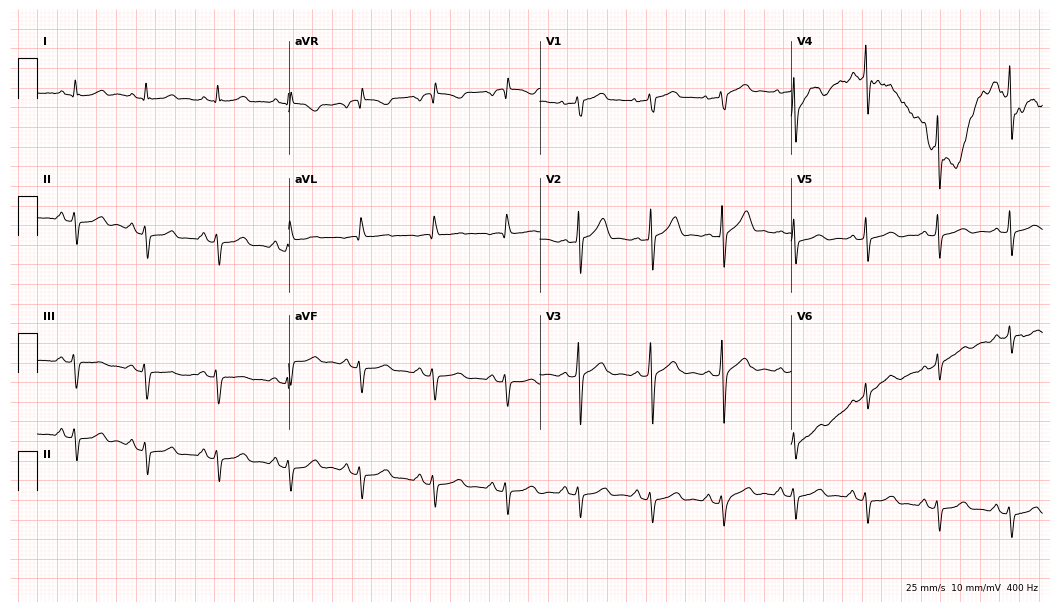
ECG — a female patient, 52 years old. Screened for six findings — first-degree AV block, right bundle branch block, left bundle branch block, sinus bradycardia, atrial fibrillation, sinus tachycardia — none is recorded.